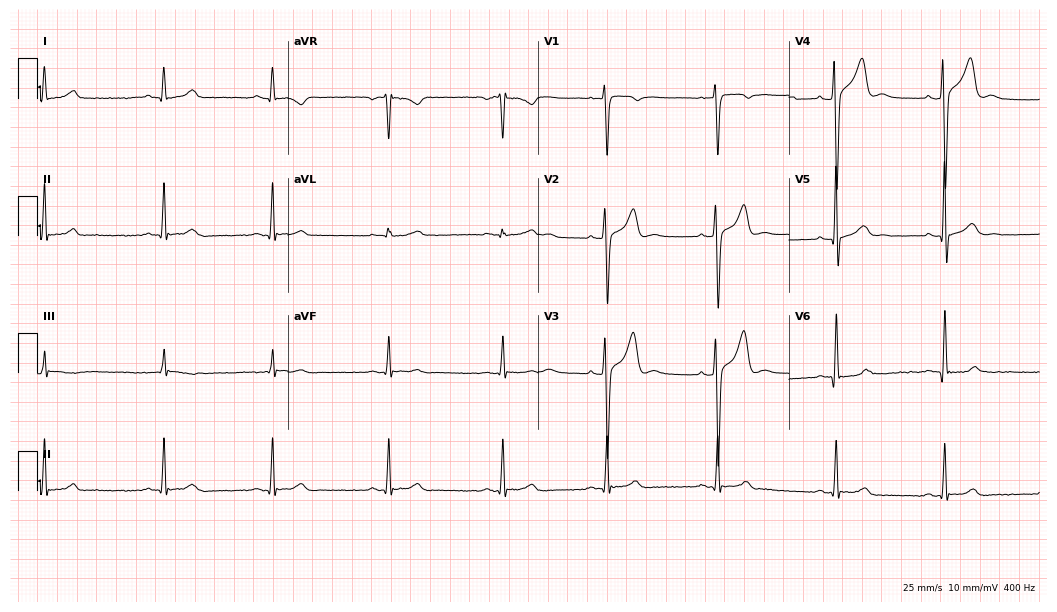
Electrocardiogram (10.2-second recording at 400 Hz), a man, 22 years old. Of the six screened findings (first-degree AV block, right bundle branch block, left bundle branch block, sinus bradycardia, atrial fibrillation, sinus tachycardia), none is recorded.